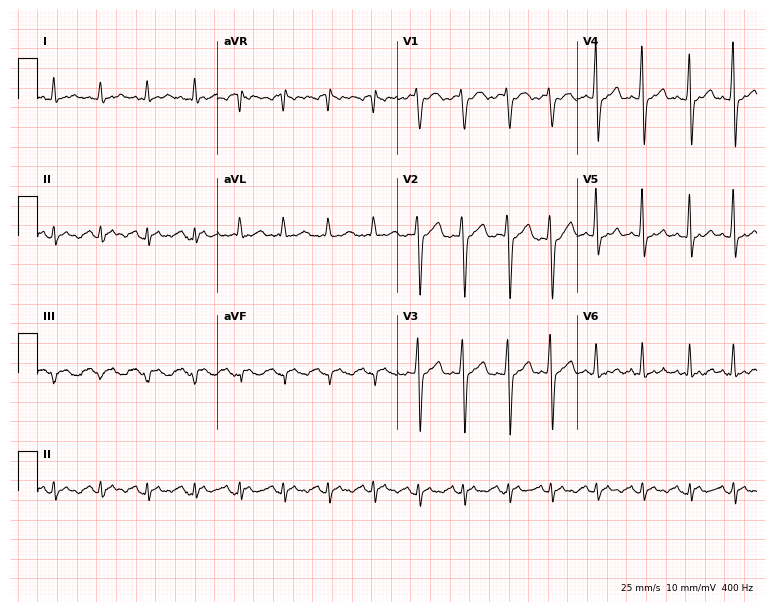
12-lead ECG (7.3-second recording at 400 Hz) from a male, 66 years old. Findings include sinus tachycardia (a sinus rate of 100 beats per minute or more).